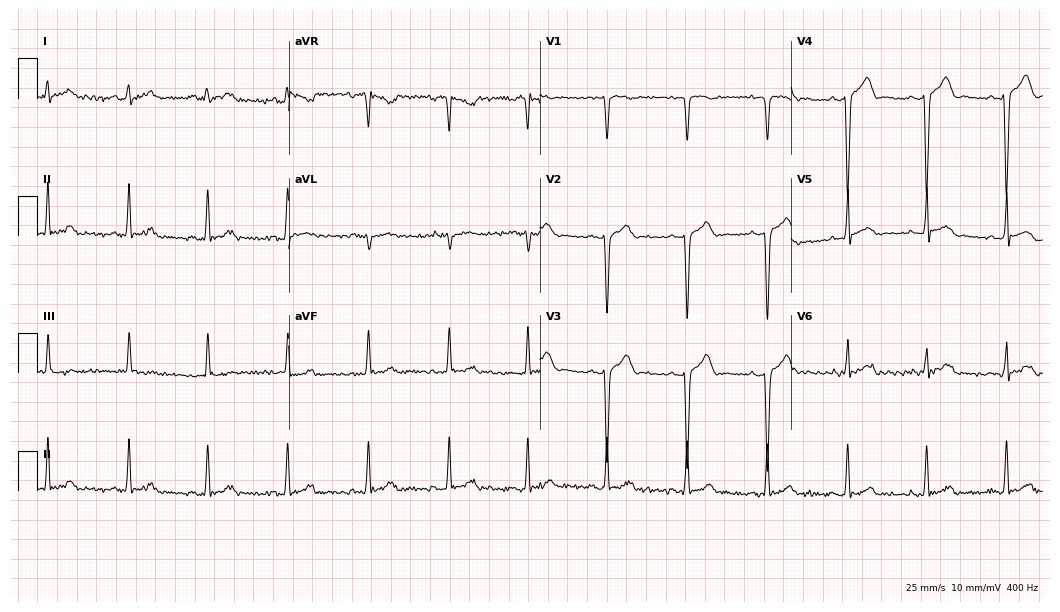
12-lead ECG (10.2-second recording at 400 Hz) from a 23-year-old man. Screened for six findings — first-degree AV block, right bundle branch block, left bundle branch block, sinus bradycardia, atrial fibrillation, sinus tachycardia — none is recorded. Other findings, if any, are not listed.